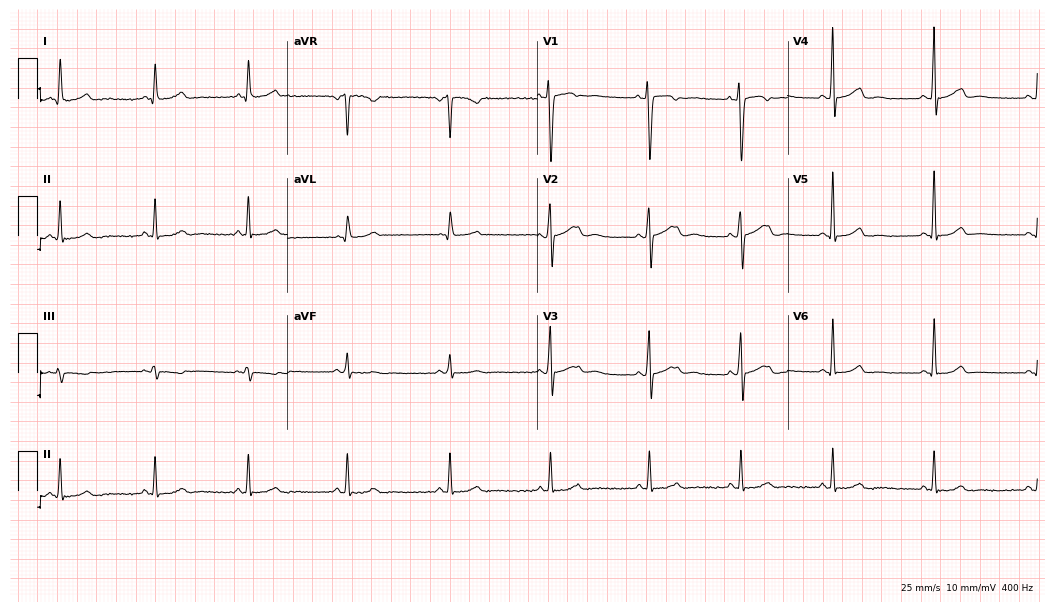
Electrocardiogram (10.2-second recording at 400 Hz), a 25-year-old woman. Overall reading on record: normal ECG.